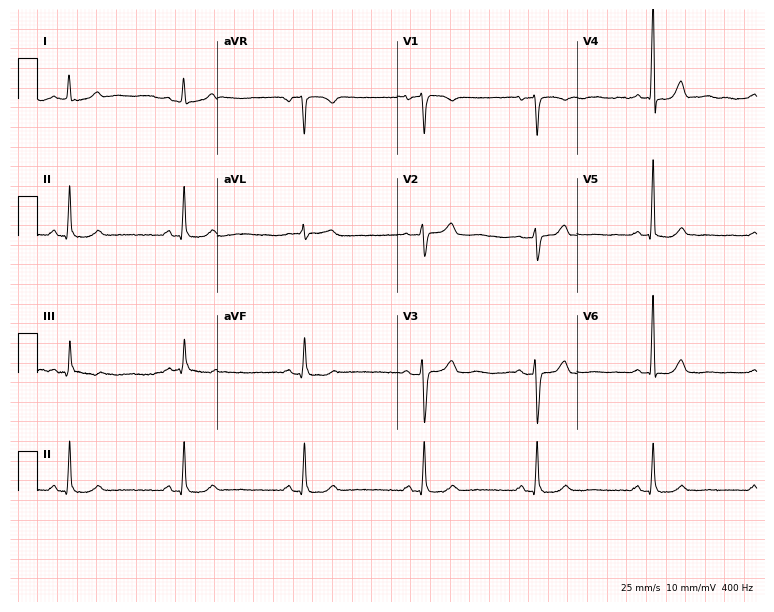
12-lead ECG from a female patient, 37 years old. Labelled as a normal ECG.